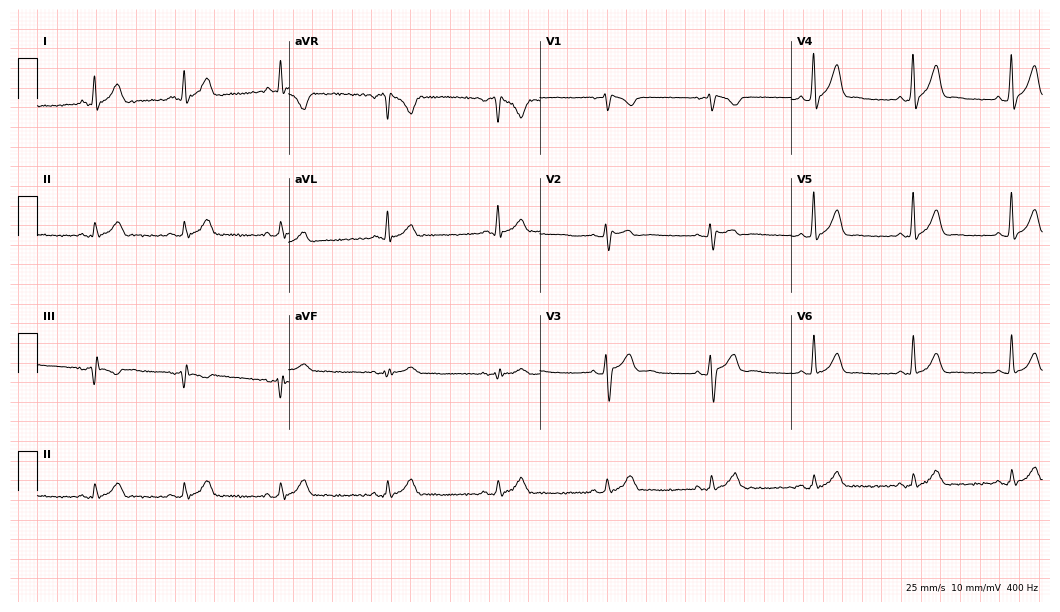
Electrocardiogram, a man, 37 years old. Overall reading on record: normal ECG.